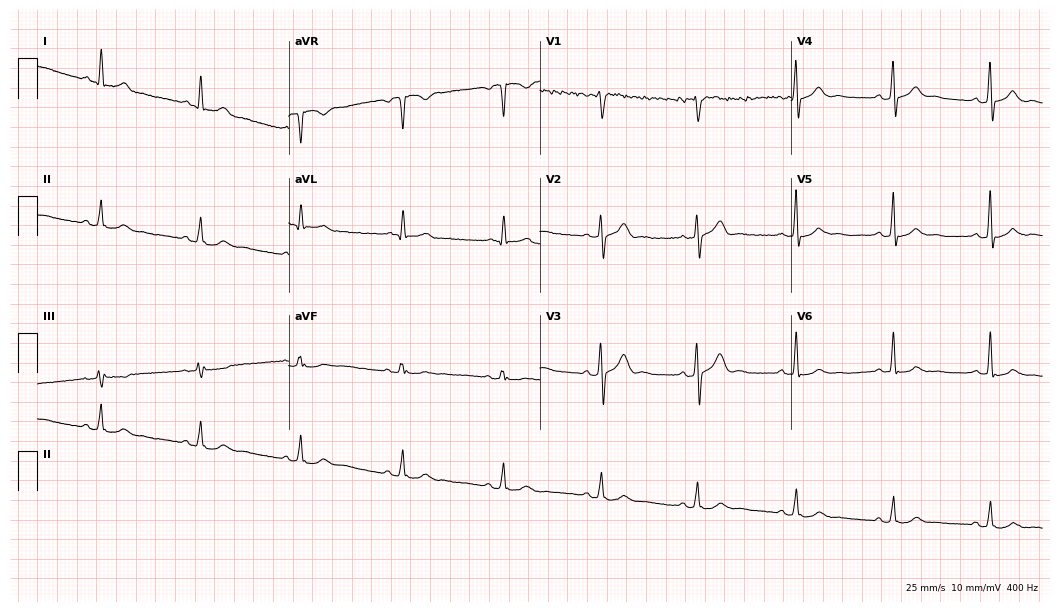
12-lead ECG from a male, 50 years old. Labelled as a normal ECG.